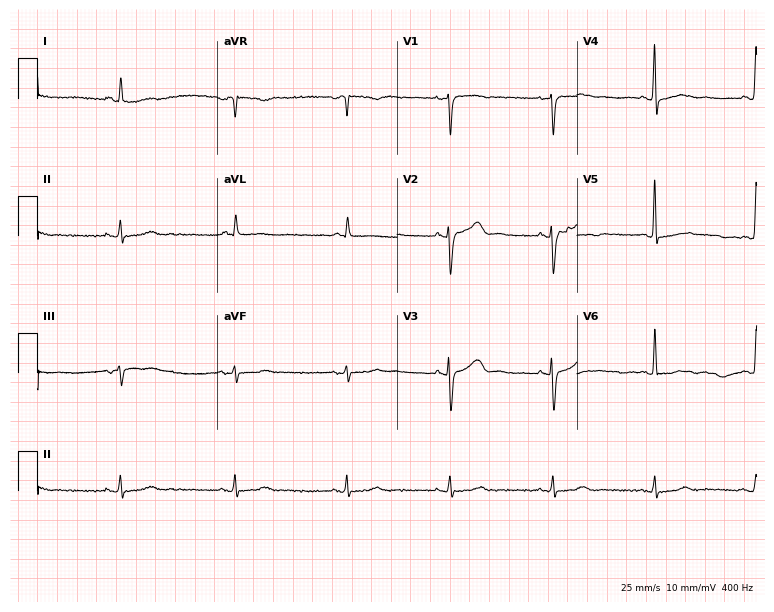
ECG (7.3-second recording at 400 Hz) — a female patient, 47 years old. Screened for six findings — first-degree AV block, right bundle branch block (RBBB), left bundle branch block (LBBB), sinus bradycardia, atrial fibrillation (AF), sinus tachycardia — none is recorded.